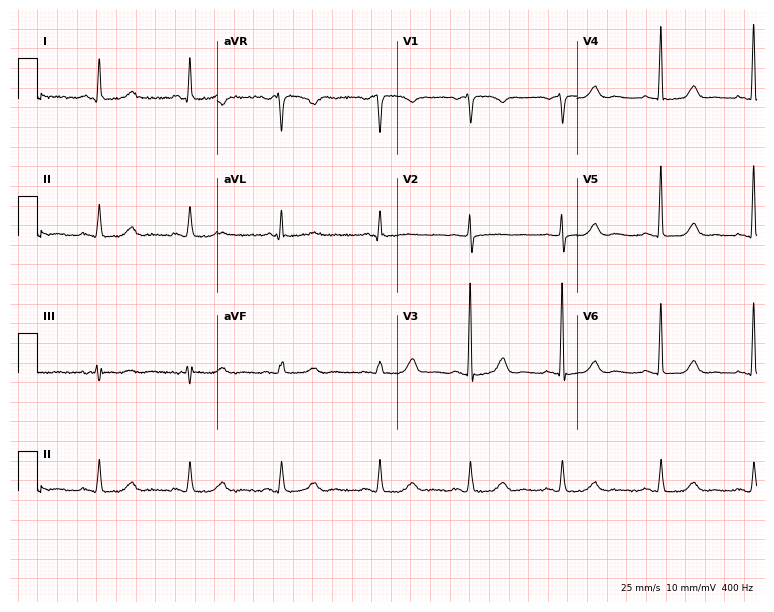
ECG (7.3-second recording at 400 Hz) — a female, 72 years old. Labelled as a normal ECG.